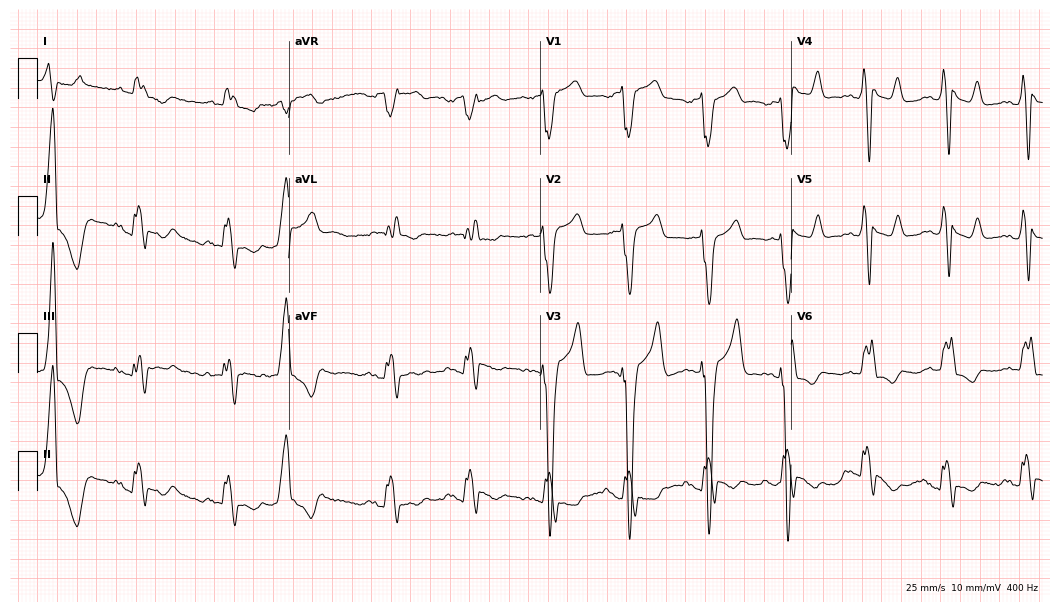
12-lead ECG from a man, 77 years old. Findings include left bundle branch block.